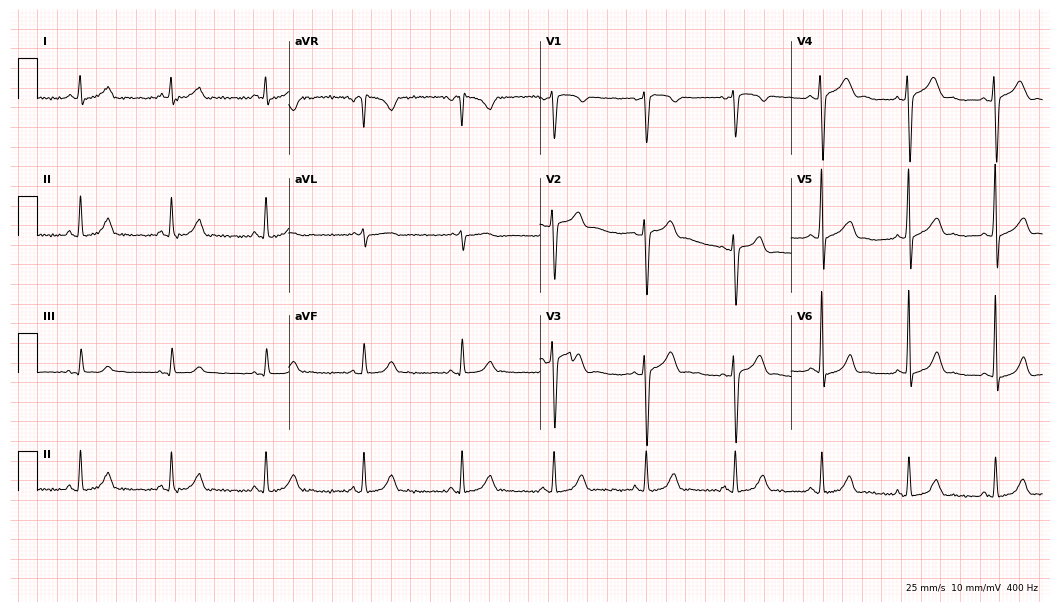
Electrocardiogram (10.2-second recording at 400 Hz), a 22-year-old male patient. Of the six screened findings (first-degree AV block, right bundle branch block, left bundle branch block, sinus bradycardia, atrial fibrillation, sinus tachycardia), none is recorded. Findings outside these six are not listed.